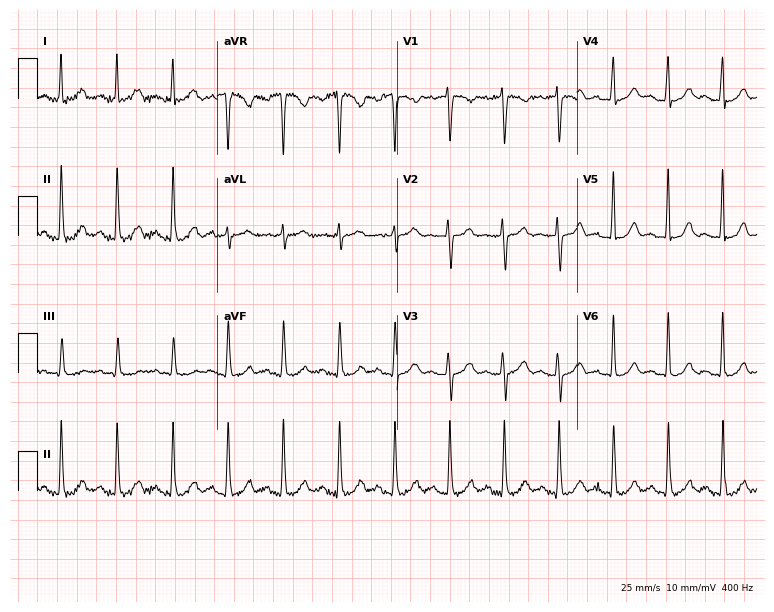
Resting 12-lead electrocardiogram. Patient: a 19-year-old female. The tracing shows sinus tachycardia (a sinus rate of 100 beats per minute or more).